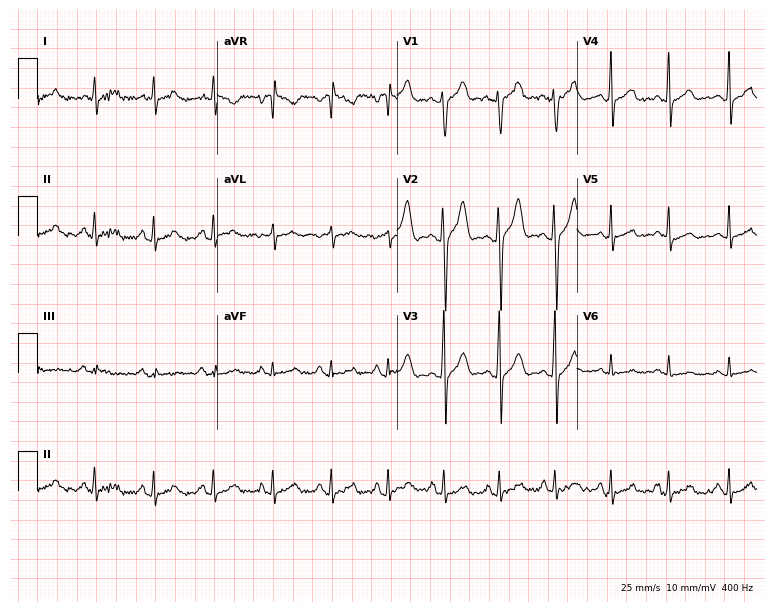
Electrocardiogram (7.3-second recording at 400 Hz), a male, 27 years old. Interpretation includes sinus tachycardia (a sinus rate of 100 beats per minute or more).